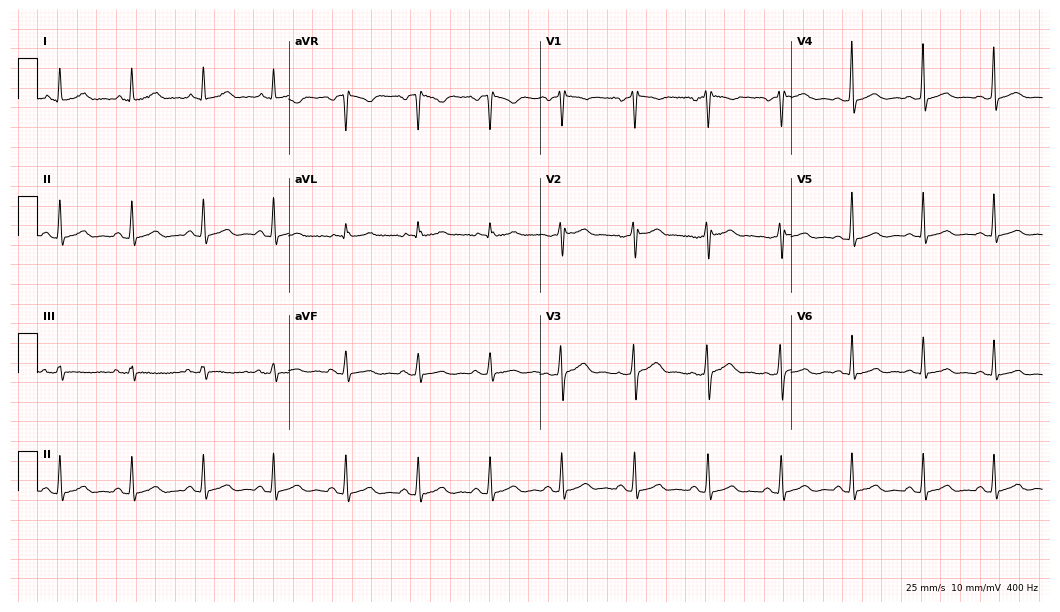
ECG (10.2-second recording at 400 Hz) — a woman, 38 years old. Labelled as a normal ECG.